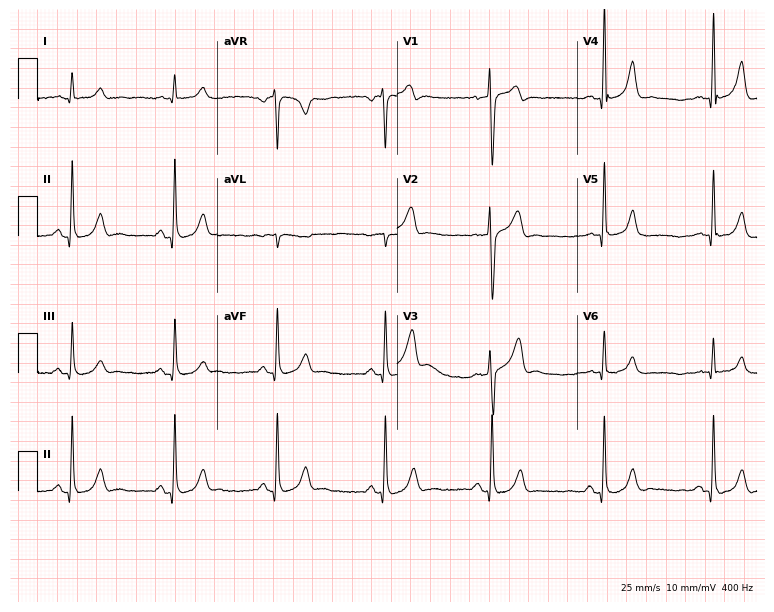
12-lead ECG from a 45-year-old male (7.3-second recording at 400 Hz). Recorded interpretation: within normal limits.